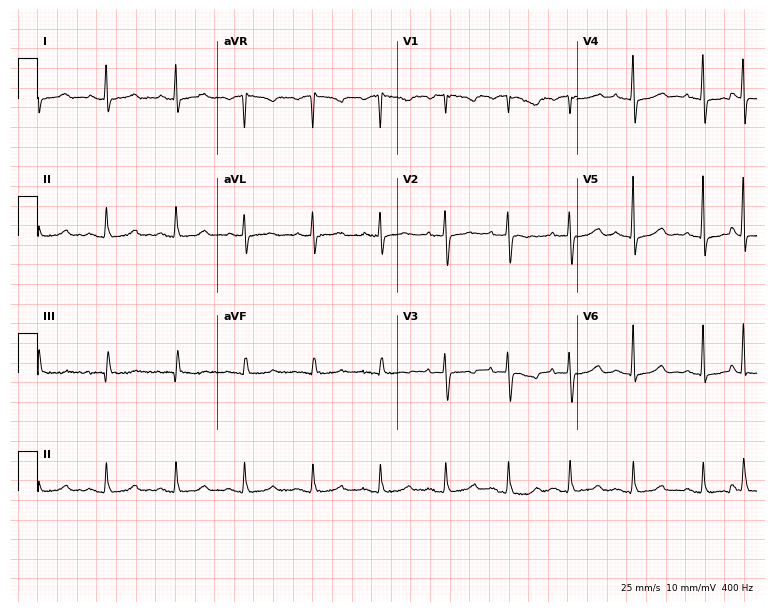
ECG (7.3-second recording at 400 Hz) — a female patient, 79 years old. Screened for six findings — first-degree AV block, right bundle branch block, left bundle branch block, sinus bradycardia, atrial fibrillation, sinus tachycardia — none is recorded.